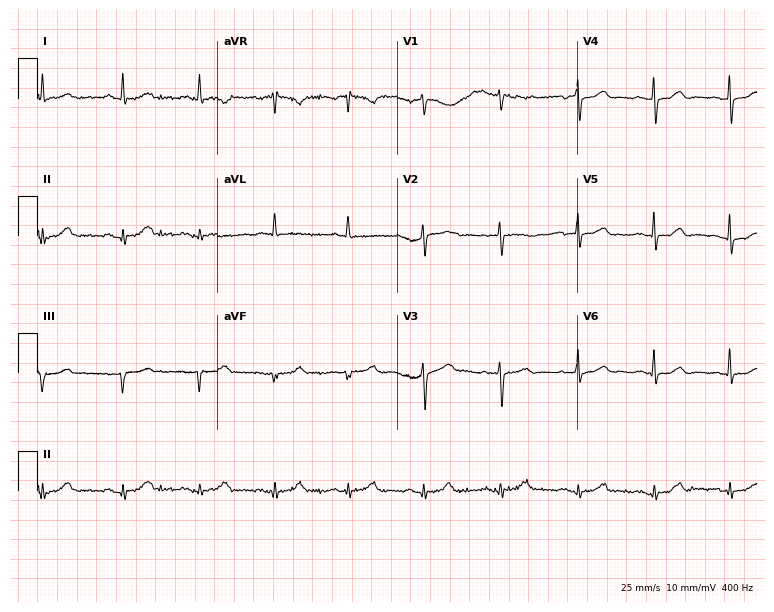
Resting 12-lead electrocardiogram. Patient: a 42-year-old female. None of these six findings is recorded: first-degree AV block, right bundle branch block (RBBB), left bundle branch block (LBBB), sinus bradycardia, atrial fibrillation (AF), sinus tachycardia.